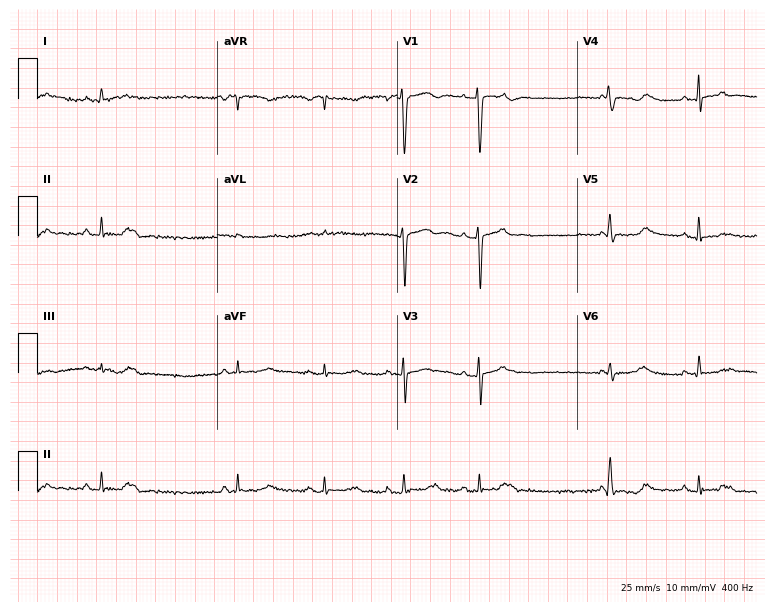
ECG — a woman, 41 years old. Screened for six findings — first-degree AV block, right bundle branch block (RBBB), left bundle branch block (LBBB), sinus bradycardia, atrial fibrillation (AF), sinus tachycardia — none is recorded.